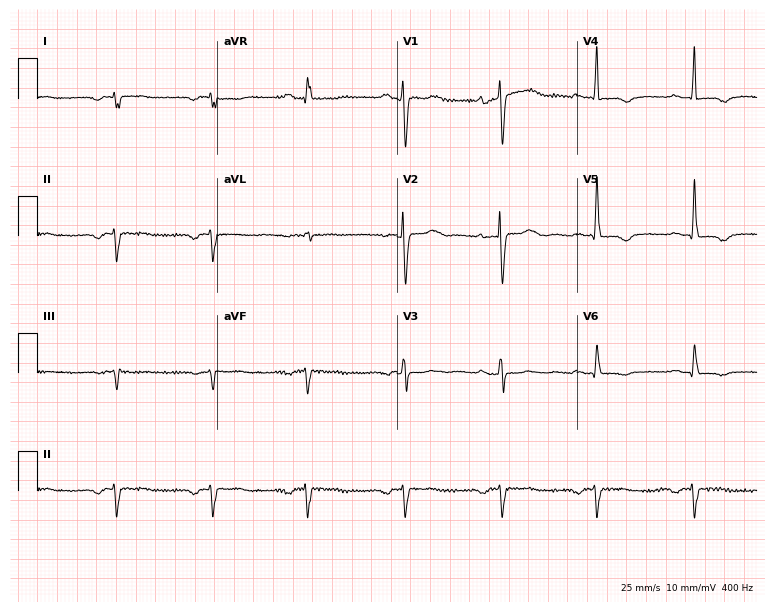
12-lead ECG from a woman, 57 years old. Screened for six findings — first-degree AV block, right bundle branch block, left bundle branch block, sinus bradycardia, atrial fibrillation, sinus tachycardia — none is recorded.